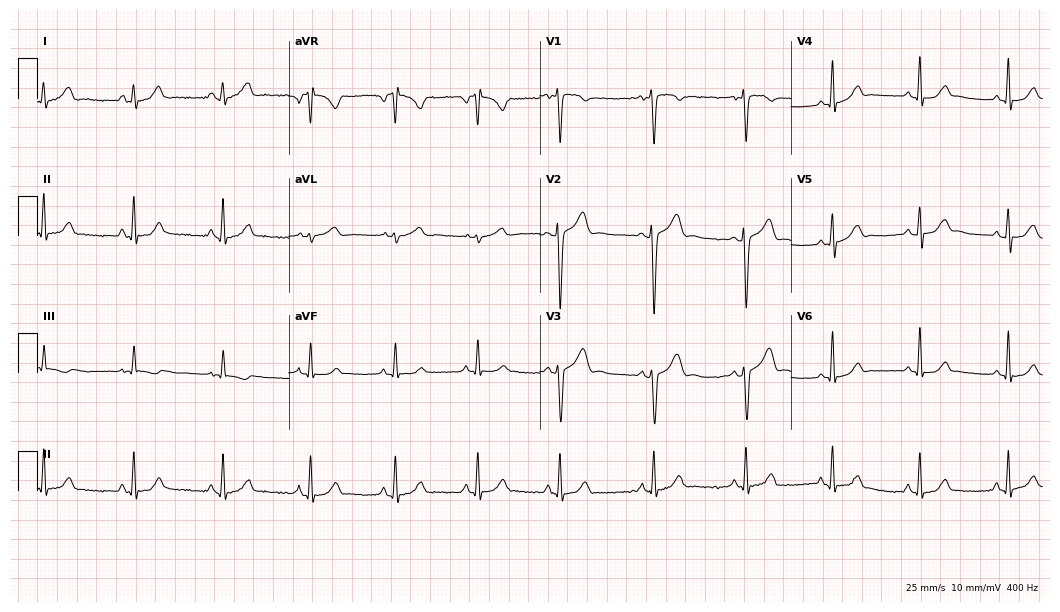
12-lead ECG (10.2-second recording at 400 Hz) from a 17-year-old male patient. Labelled as a normal ECG.